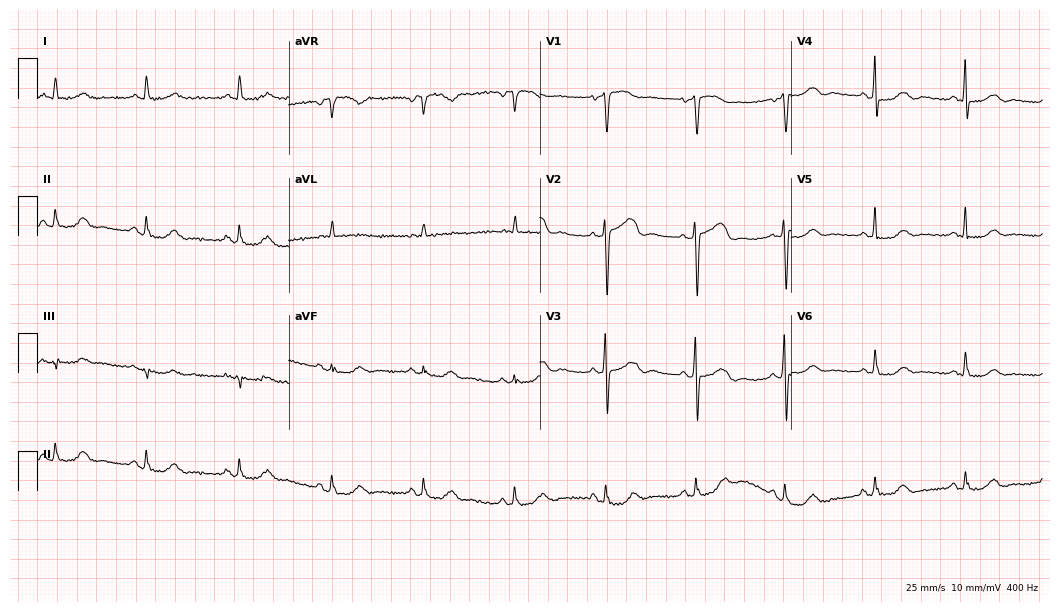
12-lead ECG from a 68-year-old female patient. No first-degree AV block, right bundle branch block, left bundle branch block, sinus bradycardia, atrial fibrillation or sinus tachycardia recorded for this tracing.